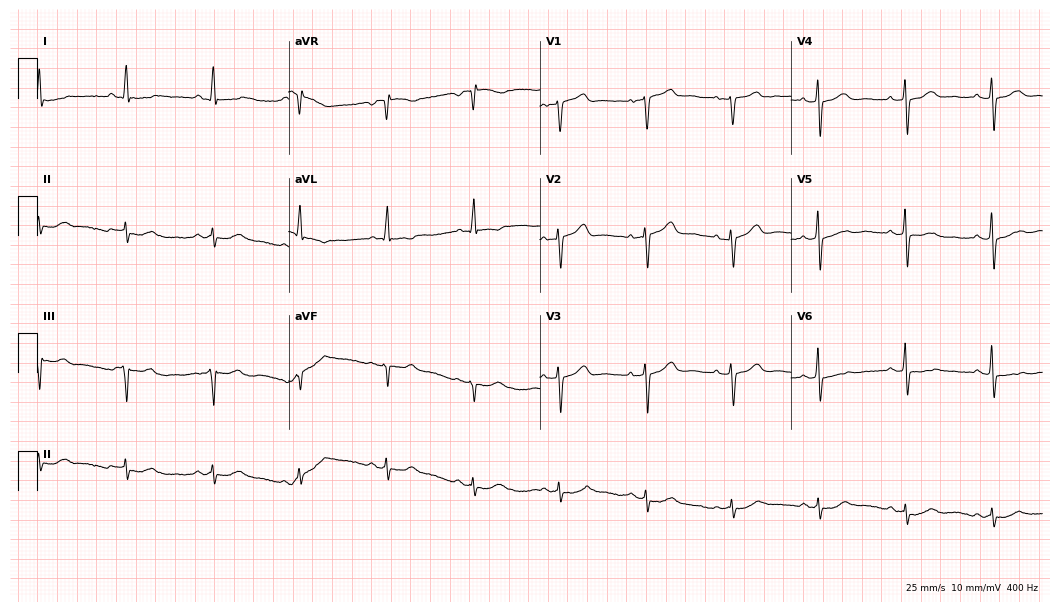
Standard 12-lead ECG recorded from a male patient, 73 years old. Read as a normal ECG.